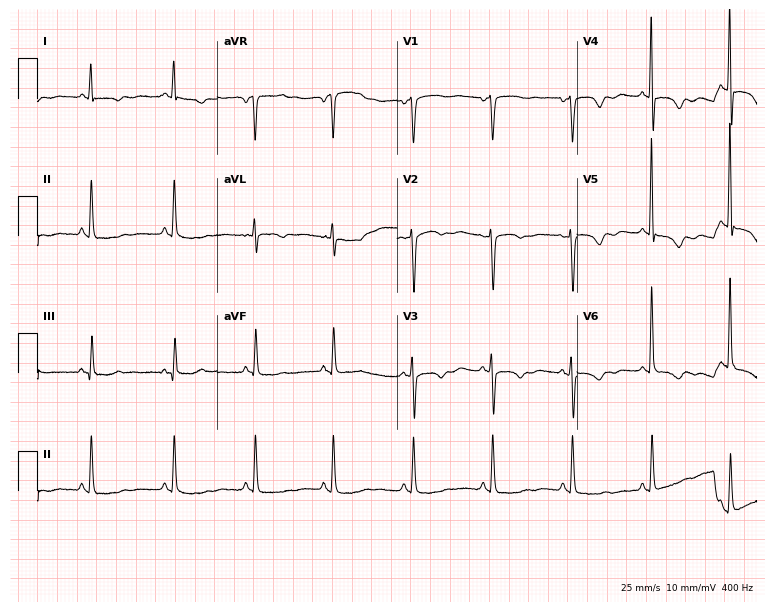
12-lead ECG from a woman, 59 years old. Screened for six findings — first-degree AV block, right bundle branch block, left bundle branch block, sinus bradycardia, atrial fibrillation, sinus tachycardia — none is recorded.